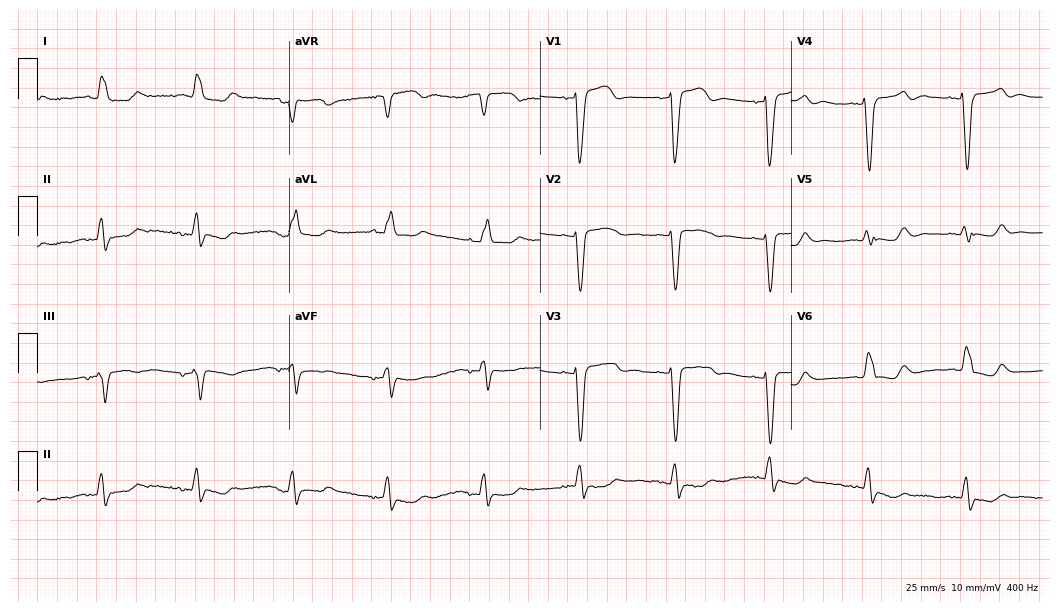
Electrocardiogram, an 85-year-old female. Of the six screened findings (first-degree AV block, right bundle branch block, left bundle branch block, sinus bradycardia, atrial fibrillation, sinus tachycardia), none is recorded.